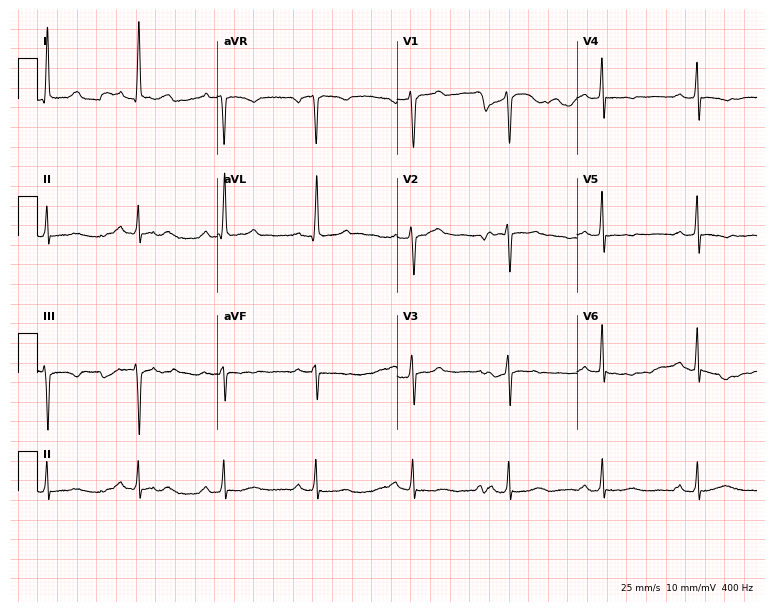
ECG — a woman, 47 years old. Screened for six findings — first-degree AV block, right bundle branch block (RBBB), left bundle branch block (LBBB), sinus bradycardia, atrial fibrillation (AF), sinus tachycardia — none is recorded.